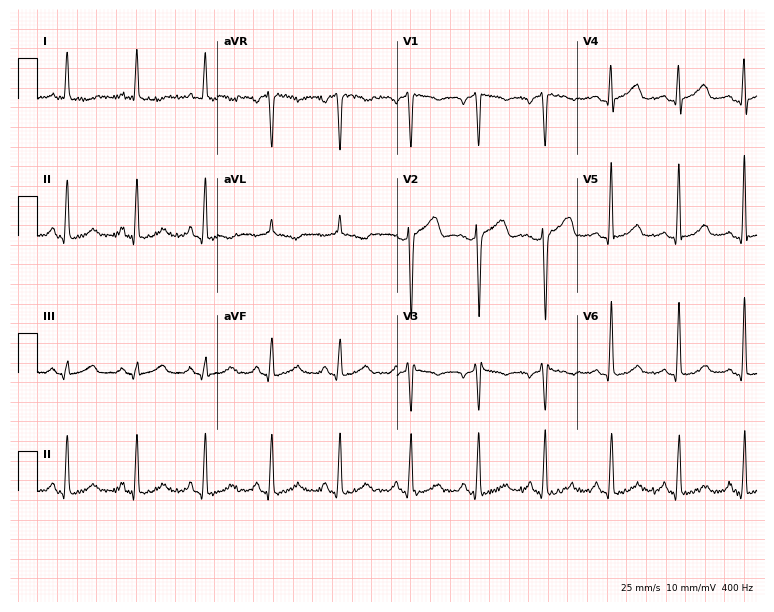
12-lead ECG (7.3-second recording at 400 Hz) from a 42-year-old female patient. Labelled as a normal ECG.